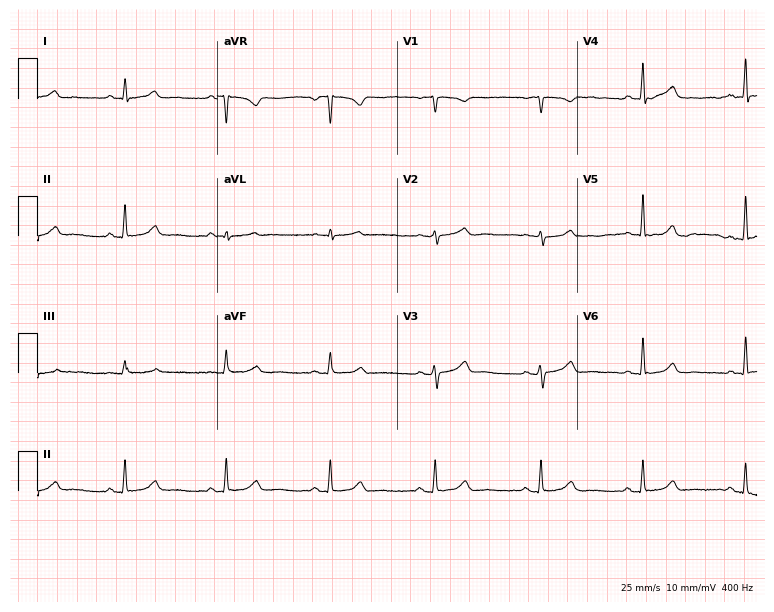
12-lead ECG from a woman, 38 years old. Recorded interpretation: within normal limits.